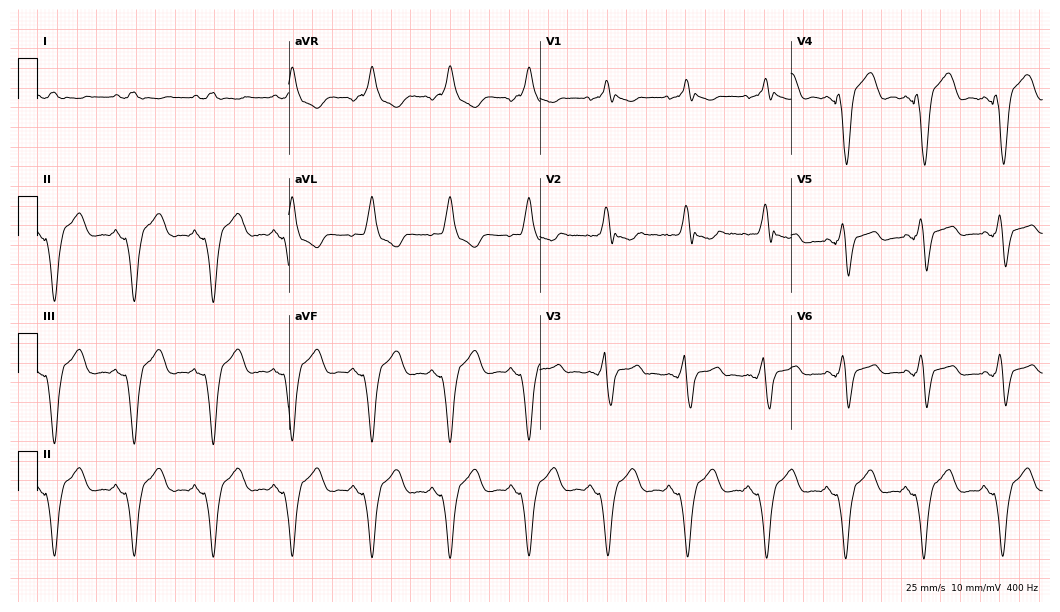
Resting 12-lead electrocardiogram (10.2-second recording at 400 Hz). Patient: a male, 59 years old. None of these six findings is recorded: first-degree AV block, right bundle branch block (RBBB), left bundle branch block (LBBB), sinus bradycardia, atrial fibrillation (AF), sinus tachycardia. Other findings, if any, are not listed.